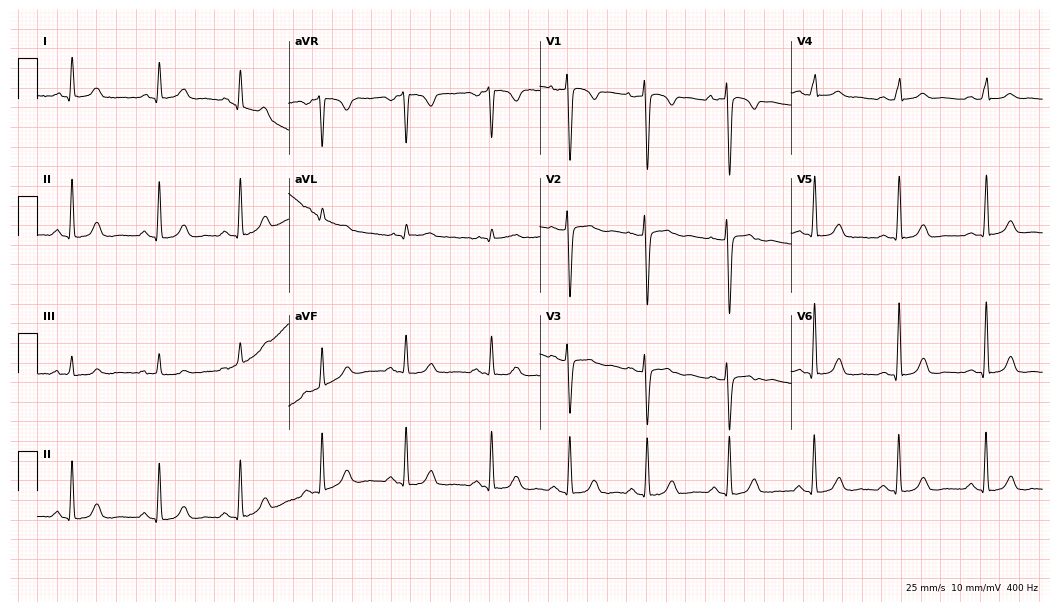
12-lead ECG (10.2-second recording at 400 Hz) from a 42-year-old woman. Screened for six findings — first-degree AV block, right bundle branch block, left bundle branch block, sinus bradycardia, atrial fibrillation, sinus tachycardia — none is recorded. Findings outside these six are not listed.